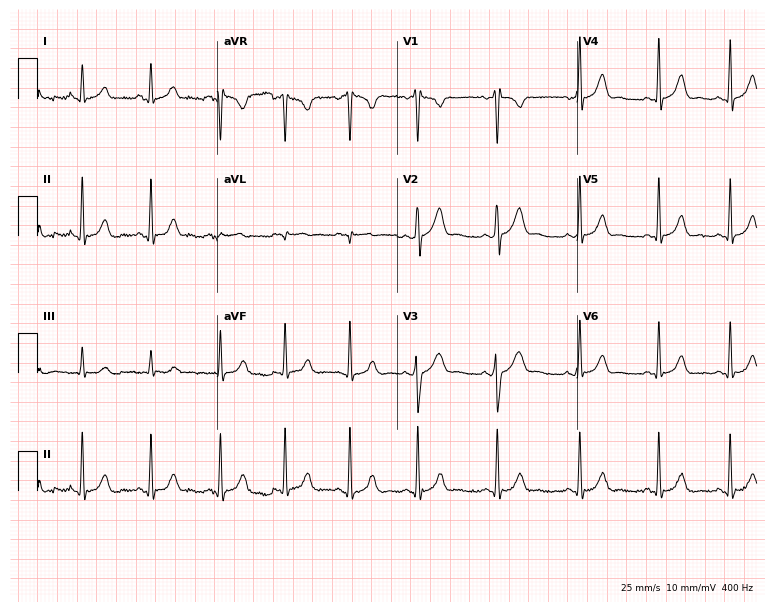
Electrocardiogram, a 21-year-old female patient. Overall reading on record: normal ECG.